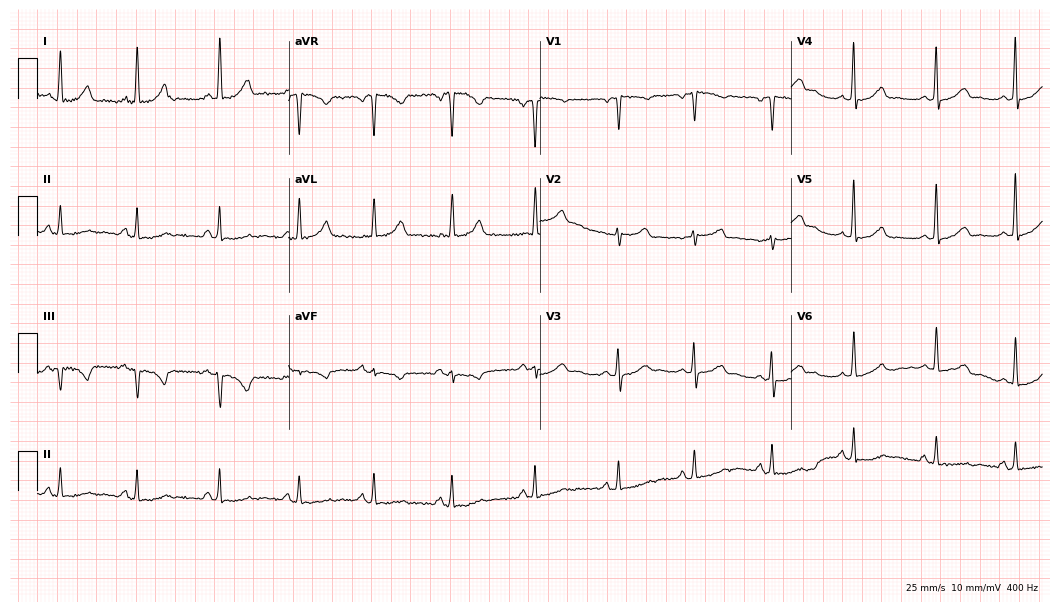
12-lead ECG (10.2-second recording at 400 Hz) from a 47-year-old female patient. Screened for six findings — first-degree AV block, right bundle branch block, left bundle branch block, sinus bradycardia, atrial fibrillation, sinus tachycardia — none is recorded. Only these six findings were labelled.